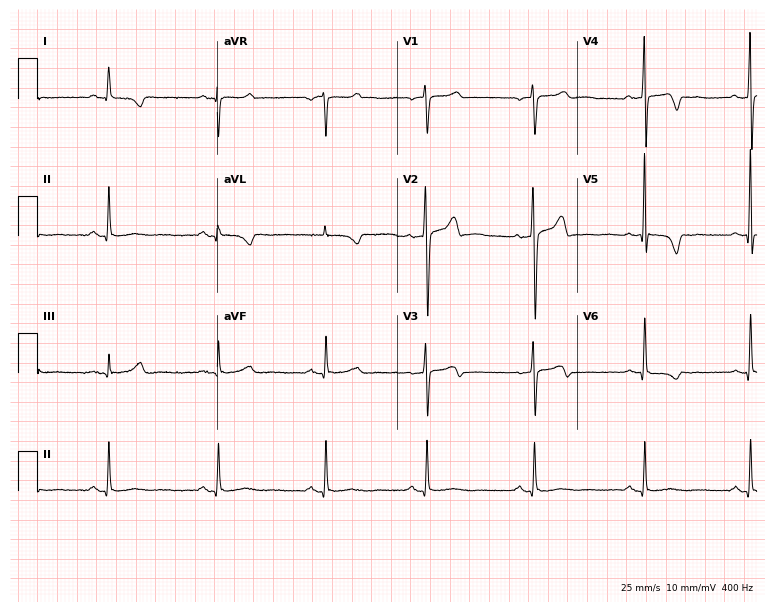
Standard 12-lead ECG recorded from a female, 63 years old (7.3-second recording at 400 Hz). None of these six findings is recorded: first-degree AV block, right bundle branch block, left bundle branch block, sinus bradycardia, atrial fibrillation, sinus tachycardia.